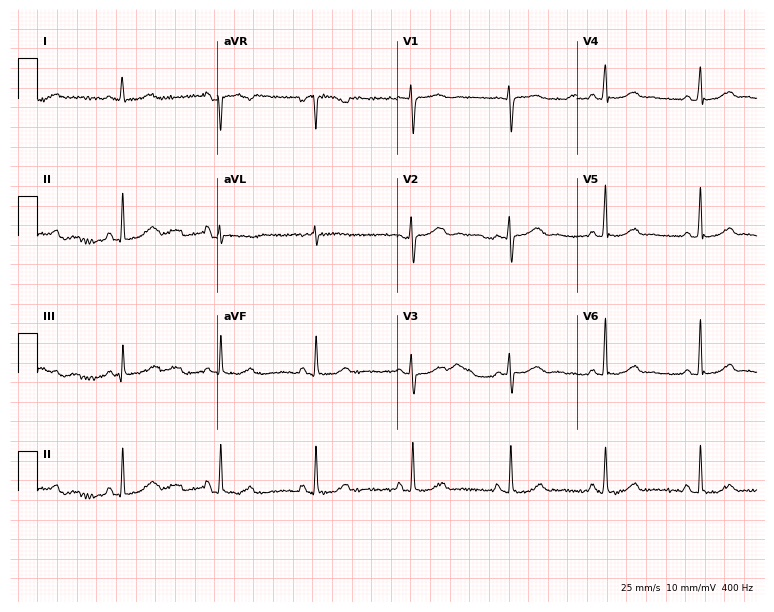
Standard 12-lead ECG recorded from a 49-year-old woman. Read as a normal ECG.